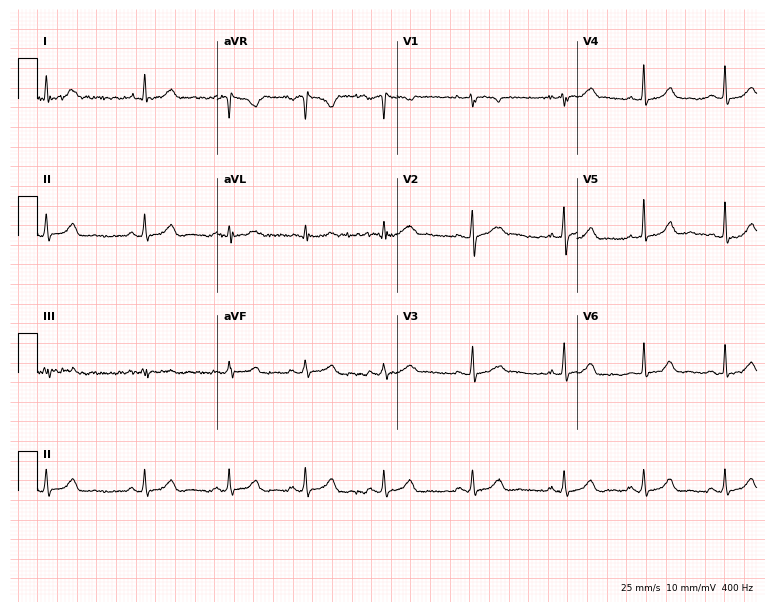
Electrocardiogram, a 22-year-old female. Overall reading on record: normal ECG.